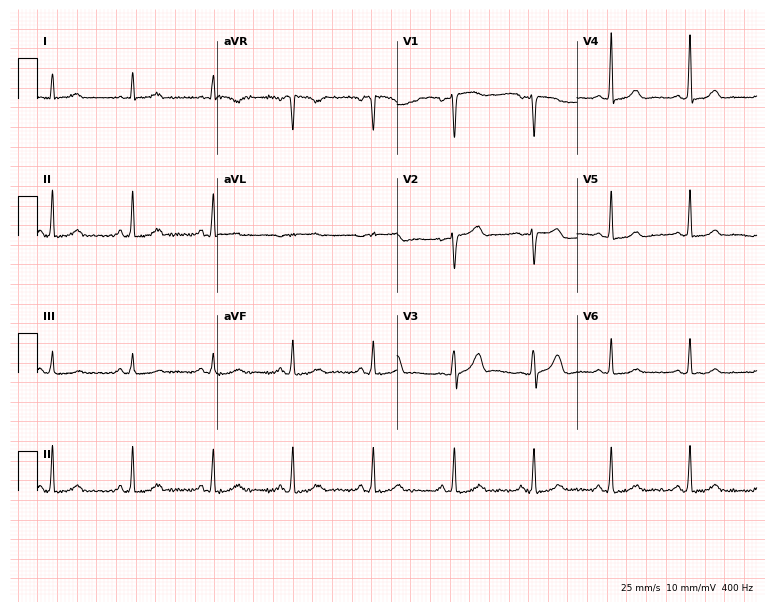
ECG (7.3-second recording at 400 Hz) — a woman, 43 years old. Screened for six findings — first-degree AV block, right bundle branch block (RBBB), left bundle branch block (LBBB), sinus bradycardia, atrial fibrillation (AF), sinus tachycardia — none is recorded. Only these six findings were labelled.